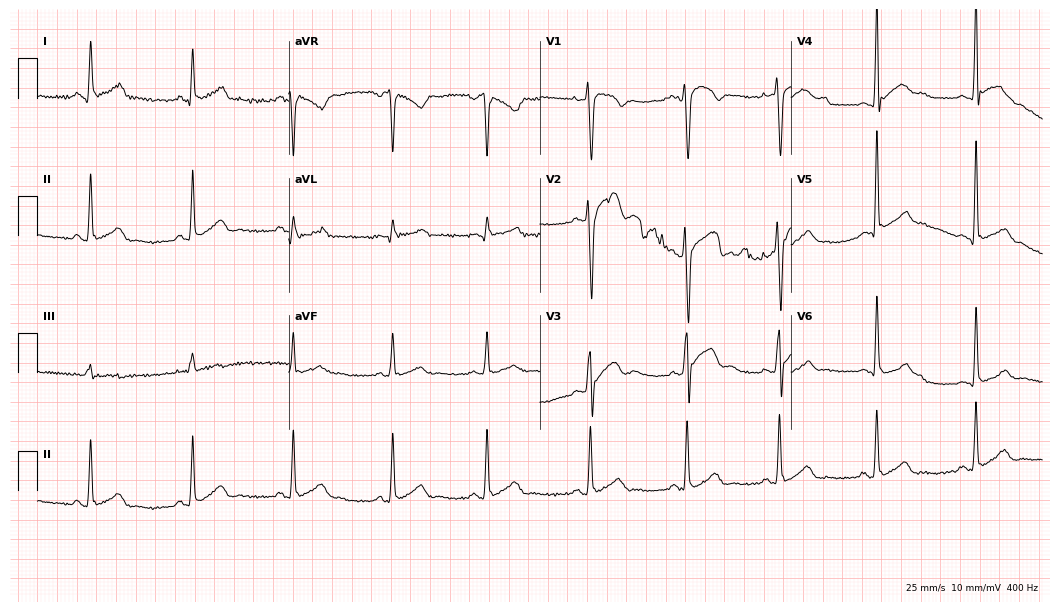
12-lead ECG (10.2-second recording at 400 Hz) from a 40-year-old man. Screened for six findings — first-degree AV block, right bundle branch block, left bundle branch block, sinus bradycardia, atrial fibrillation, sinus tachycardia — none is recorded.